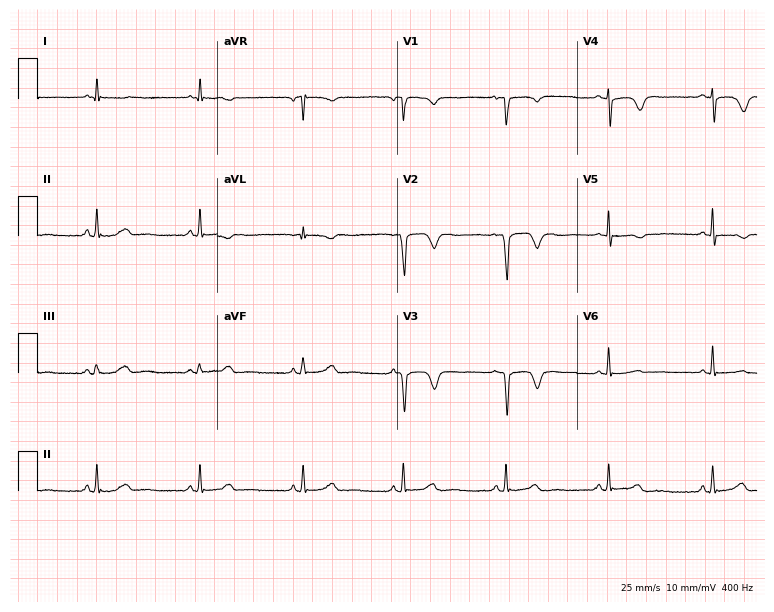
12-lead ECG from a 56-year-old woman. Recorded interpretation: within normal limits.